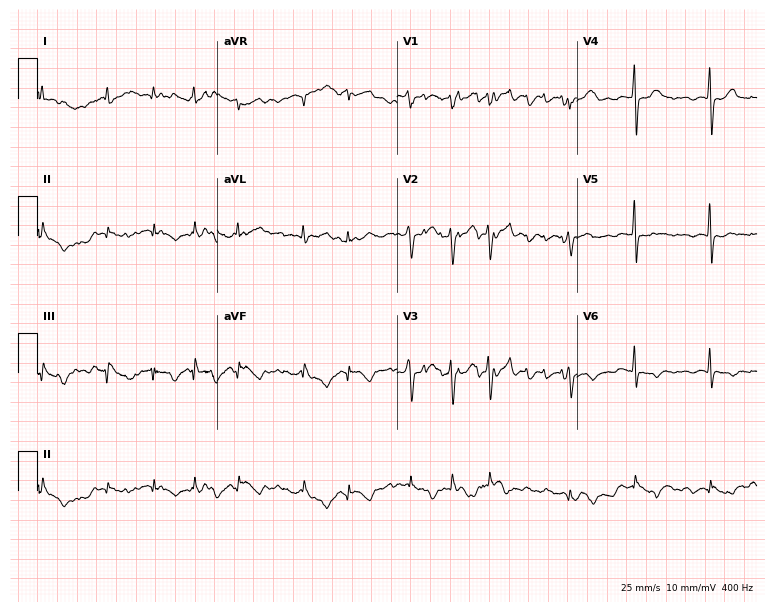
Standard 12-lead ECG recorded from a female patient, 83 years old. None of these six findings is recorded: first-degree AV block, right bundle branch block, left bundle branch block, sinus bradycardia, atrial fibrillation, sinus tachycardia.